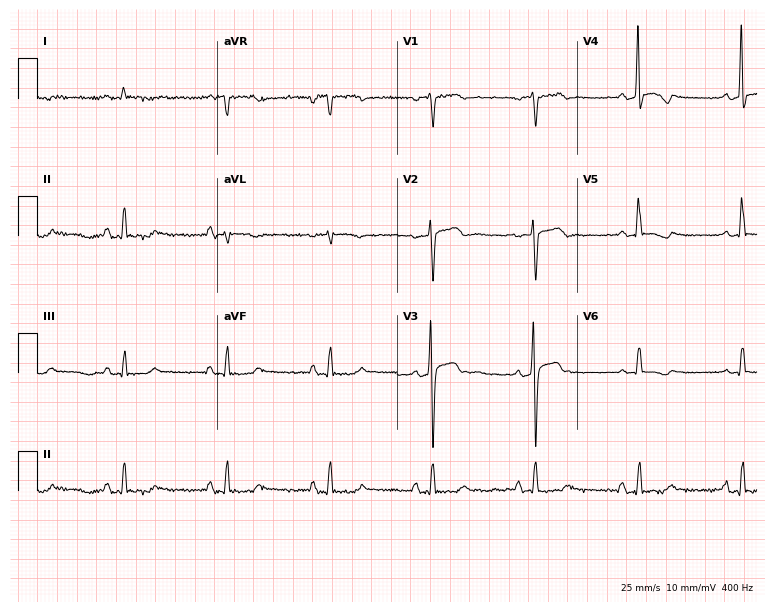
12-lead ECG from a male patient, 72 years old (7.3-second recording at 400 Hz). No first-degree AV block, right bundle branch block (RBBB), left bundle branch block (LBBB), sinus bradycardia, atrial fibrillation (AF) or sinus tachycardia recorded for this tracing.